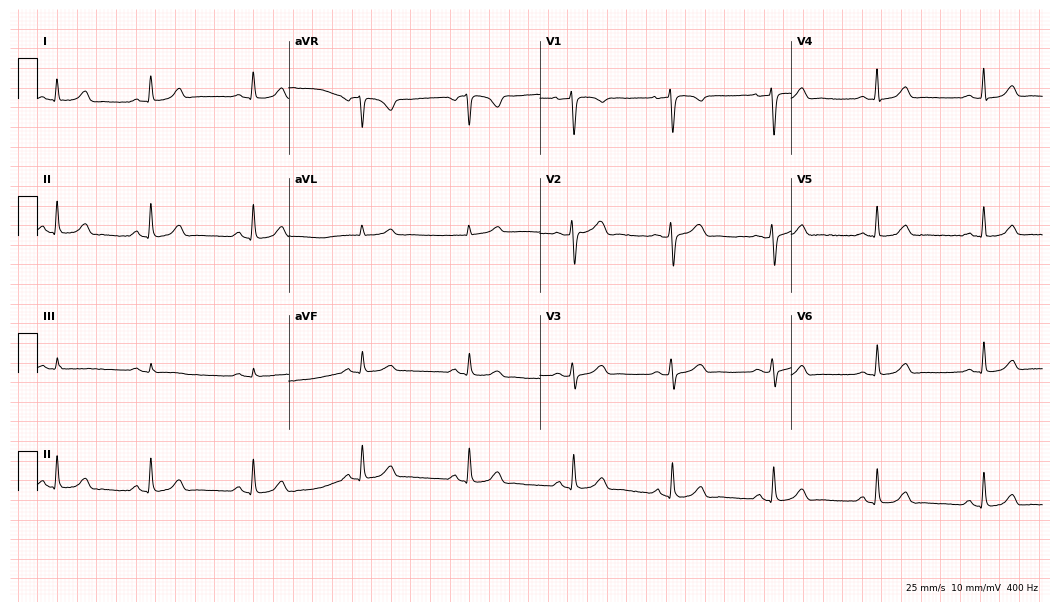
ECG (10.2-second recording at 400 Hz) — a female, 34 years old. Labelled as a normal ECG.